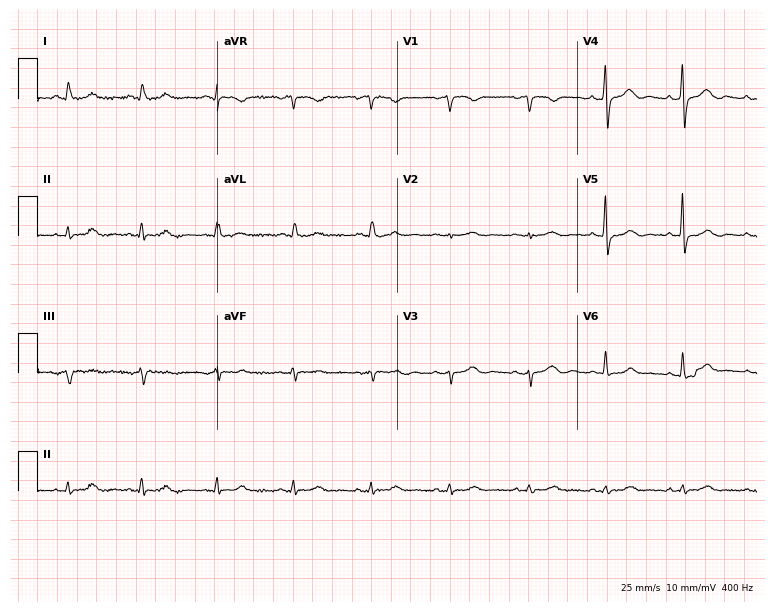
Electrocardiogram, a woman, 65 years old. Overall reading on record: normal ECG.